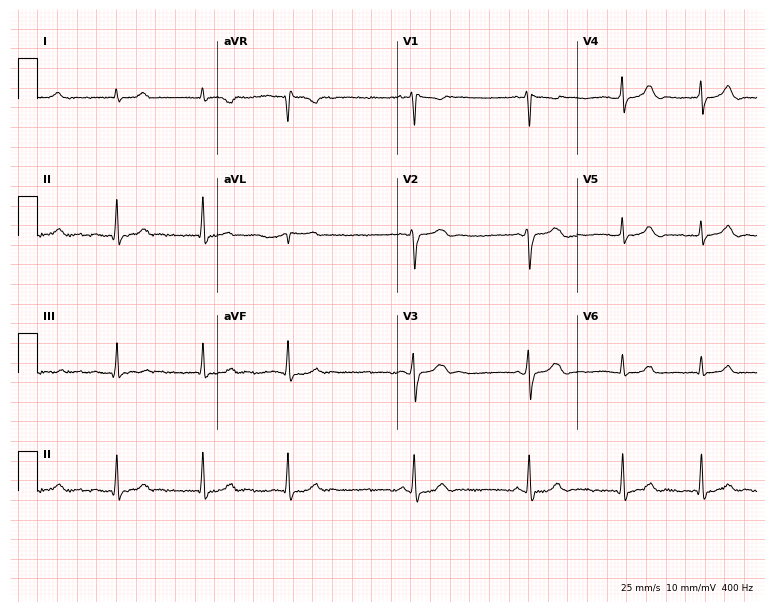
Resting 12-lead electrocardiogram. Patient: a female, 21 years old. None of these six findings is recorded: first-degree AV block, right bundle branch block (RBBB), left bundle branch block (LBBB), sinus bradycardia, atrial fibrillation (AF), sinus tachycardia.